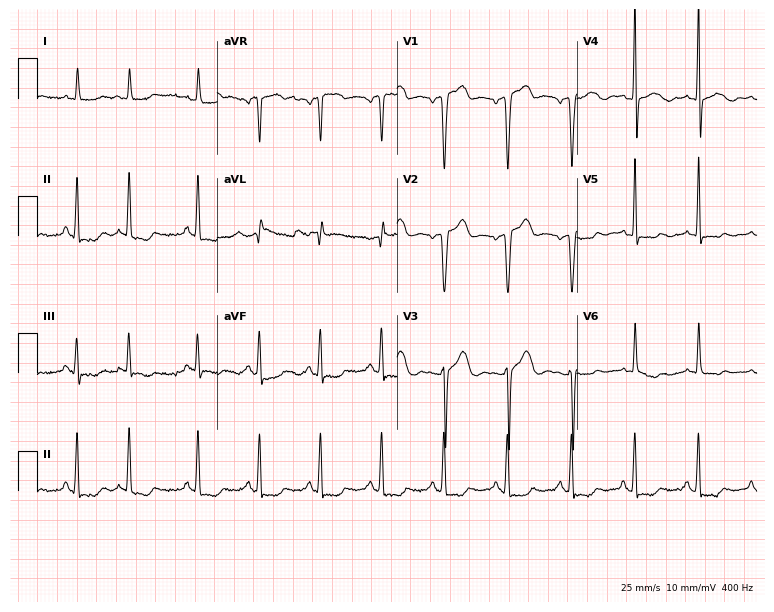
Standard 12-lead ECG recorded from a 68-year-old man. None of these six findings is recorded: first-degree AV block, right bundle branch block (RBBB), left bundle branch block (LBBB), sinus bradycardia, atrial fibrillation (AF), sinus tachycardia. Other findings, if any, are not listed.